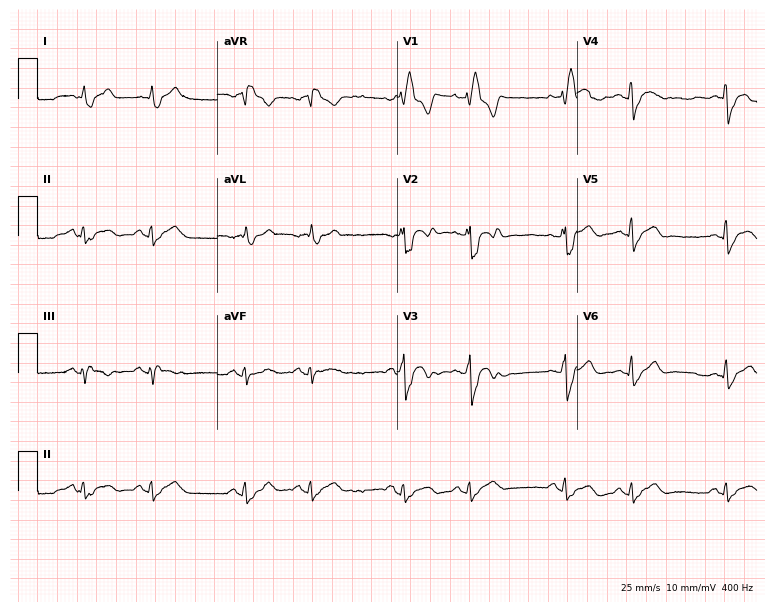
Standard 12-lead ECG recorded from a man, 68 years old (7.3-second recording at 400 Hz). The tracing shows right bundle branch block (RBBB).